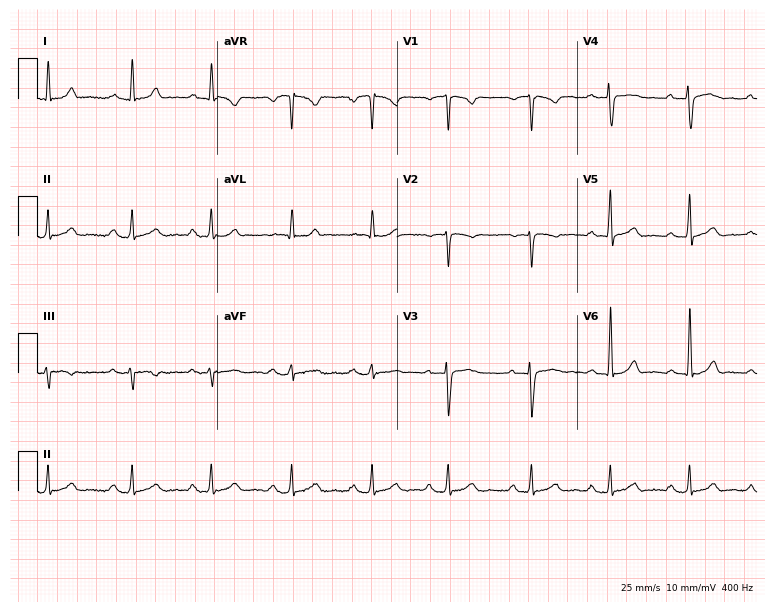
12-lead ECG from a 45-year-old male. Recorded interpretation: within normal limits.